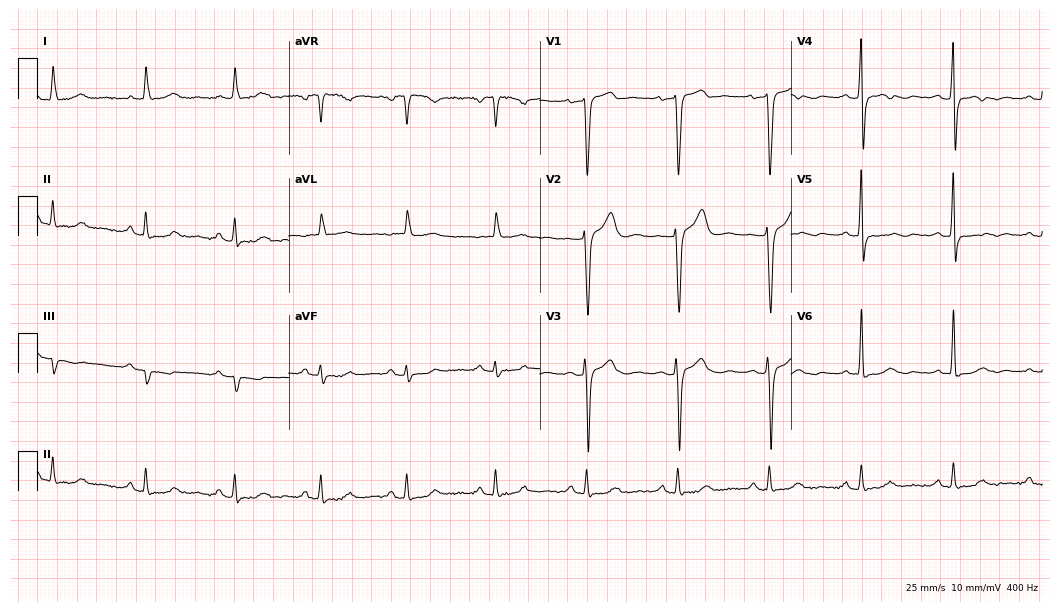
12-lead ECG (10.2-second recording at 400 Hz) from a male, 51 years old. Screened for six findings — first-degree AV block, right bundle branch block (RBBB), left bundle branch block (LBBB), sinus bradycardia, atrial fibrillation (AF), sinus tachycardia — none is recorded.